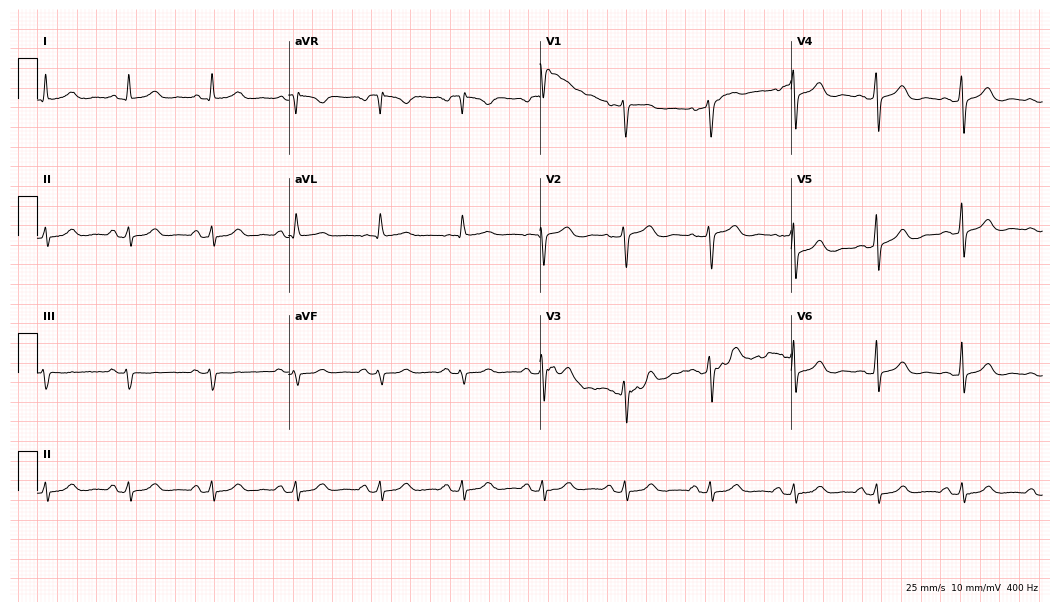
ECG — a 57-year-old female patient. Labelled as a normal ECG.